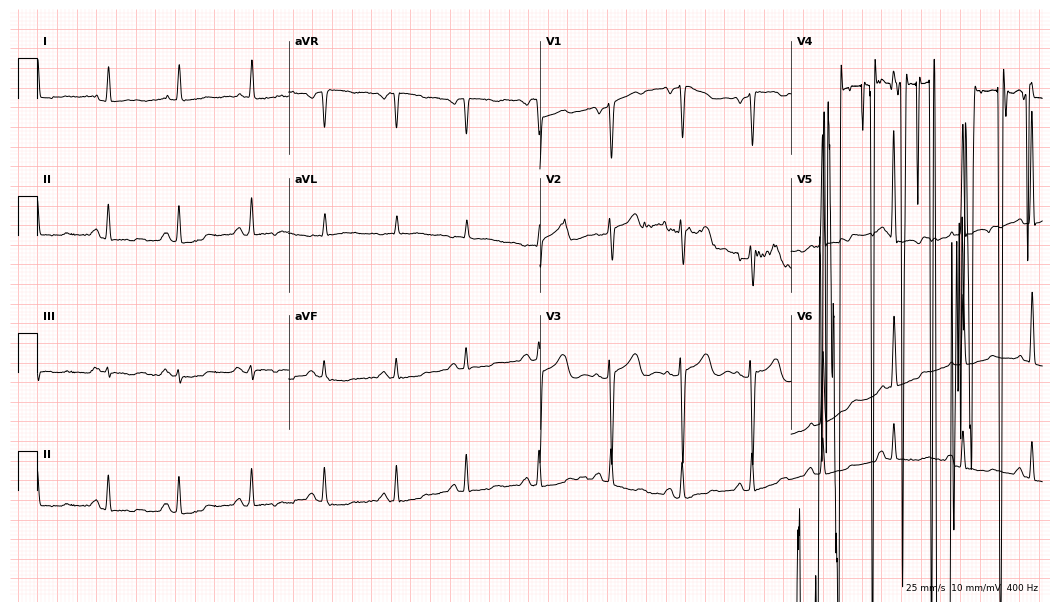
12-lead ECG from a 70-year-old female patient. Screened for six findings — first-degree AV block, right bundle branch block, left bundle branch block, sinus bradycardia, atrial fibrillation, sinus tachycardia — none is recorded. Only these six findings were labelled.